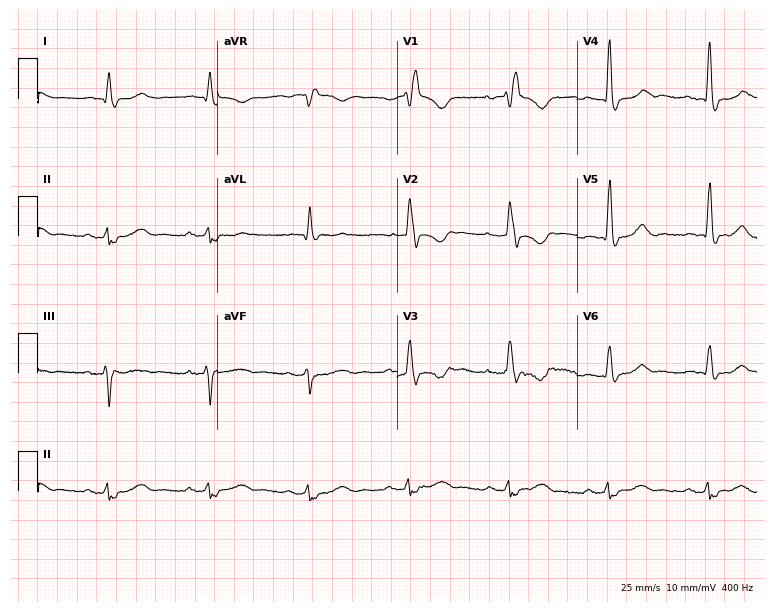
Electrocardiogram (7.3-second recording at 400 Hz), a male patient, 64 years old. Interpretation includes right bundle branch block.